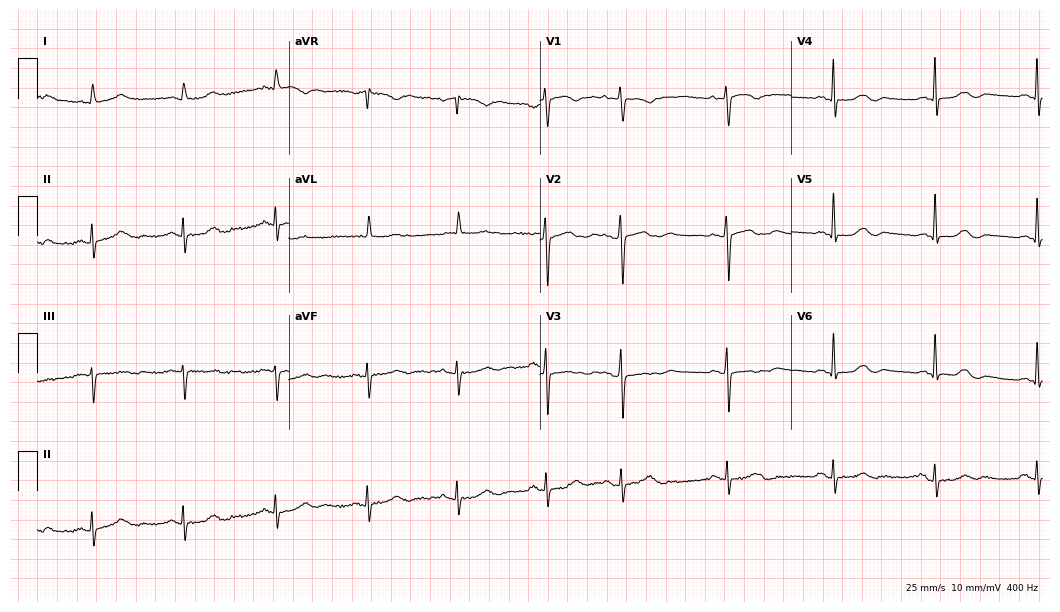
ECG — a female patient, 85 years old. Labelled as a normal ECG.